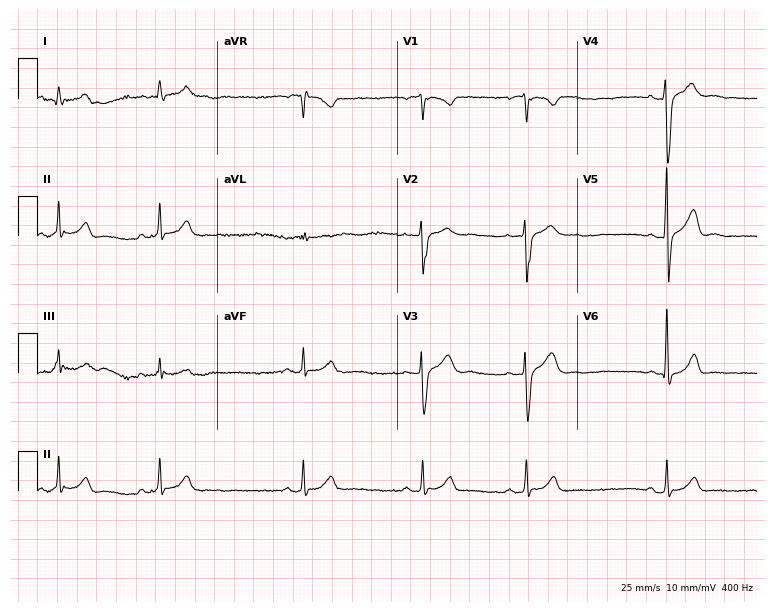
ECG (7.3-second recording at 400 Hz) — a male patient, 24 years old. Labelled as a normal ECG.